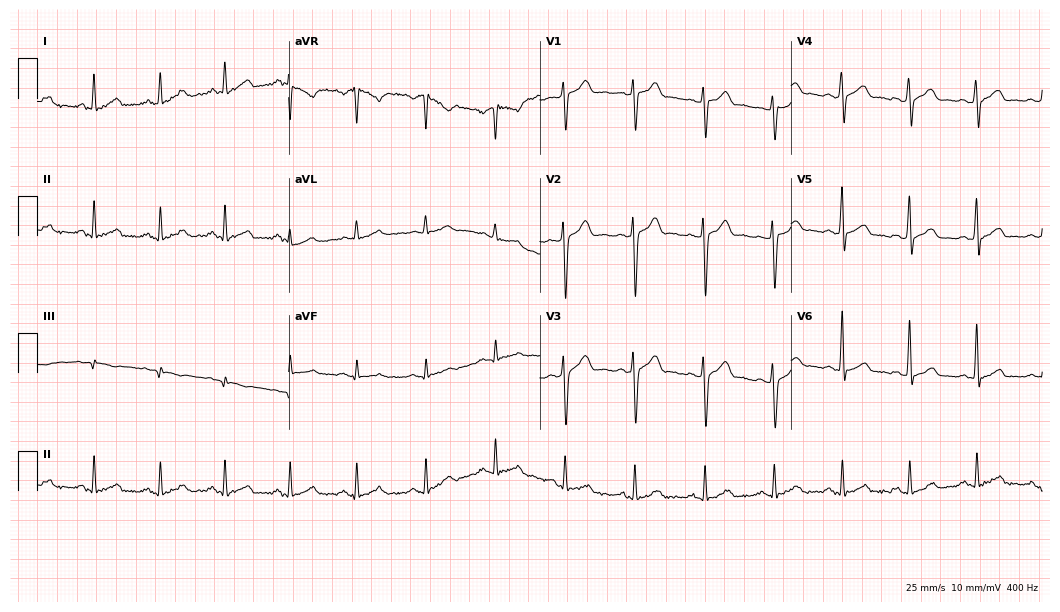
Resting 12-lead electrocardiogram. Patient: a 37-year-old man. Read as a normal ECG.